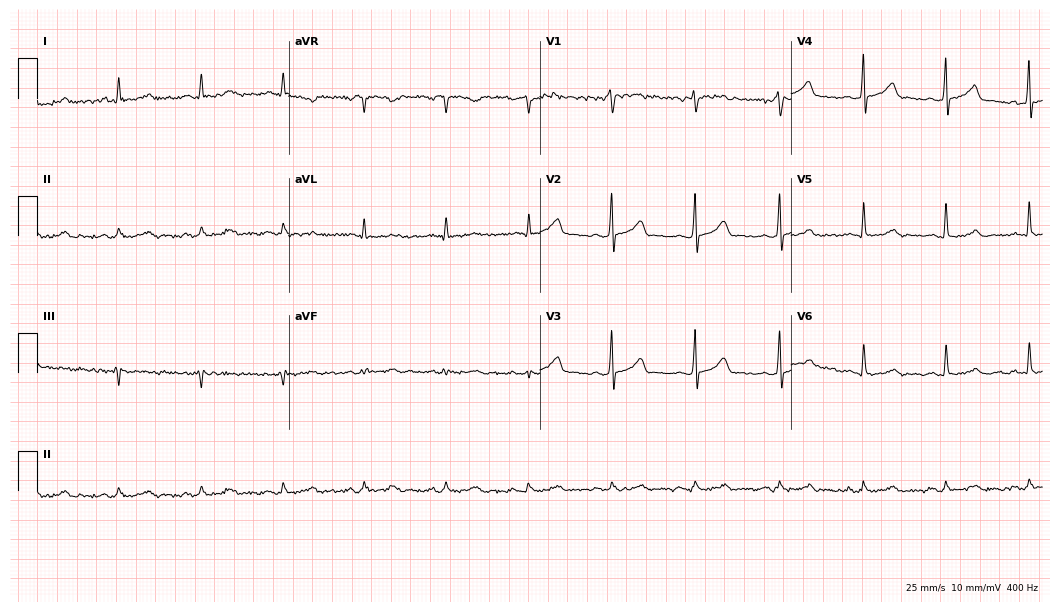
12-lead ECG (10.2-second recording at 400 Hz) from a 45-year-old male patient. Labelled as a normal ECG.